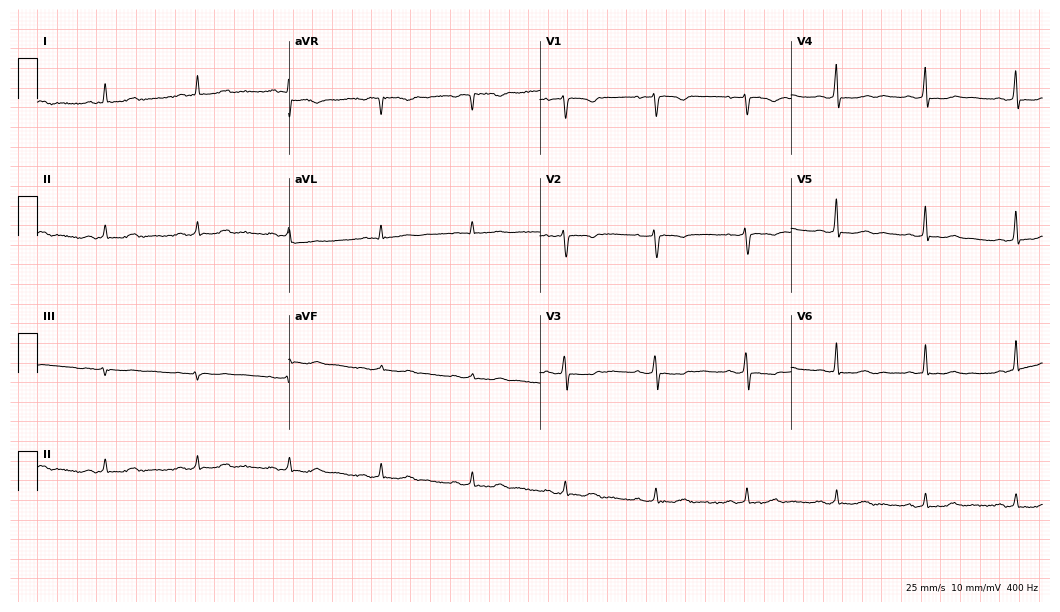
Resting 12-lead electrocardiogram (10.2-second recording at 400 Hz). Patient: a 68-year-old female. None of these six findings is recorded: first-degree AV block, right bundle branch block, left bundle branch block, sinus bradycardia, atrial fibrillation, sinus tachycardia.